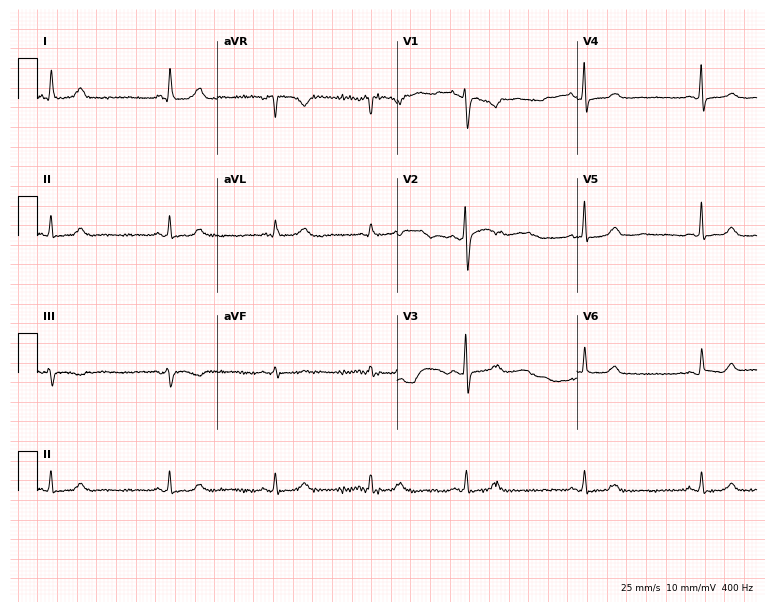
Electrocardiogram, a female, 45 years old. Overall reading on record: normal ECG.